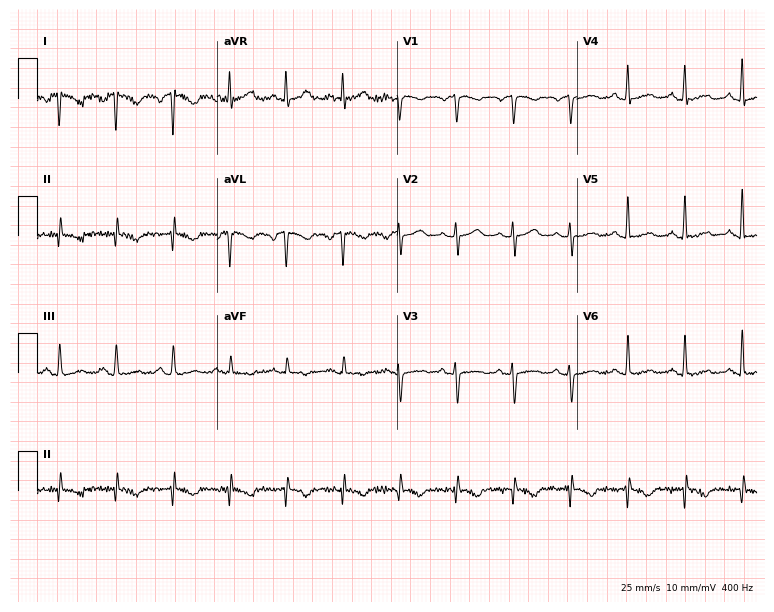
12-lead ECG from a 41-year-old woman. Screened for six findings — first-degree AV block, right bundle branch block, left bundle branch block, sinus bradycardia, atrial fibrillation, sinus tachycardia — none is recorded. Findings outside these six are not listed.